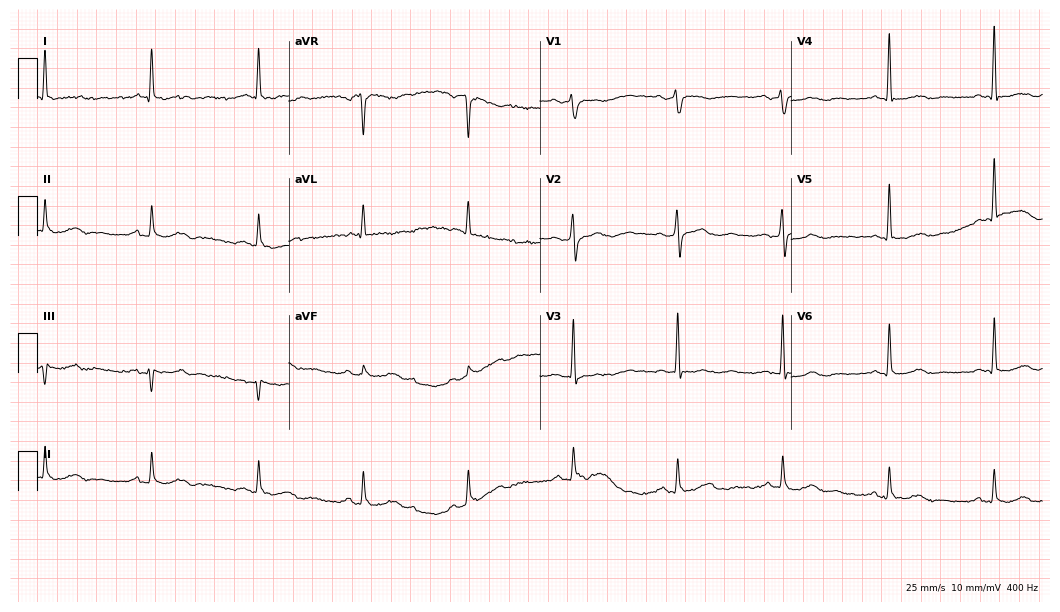
12-lead ECG from a female, 83 years old (10.2-second recording at 400 Hz). Recorded interpretation: within normal limits.